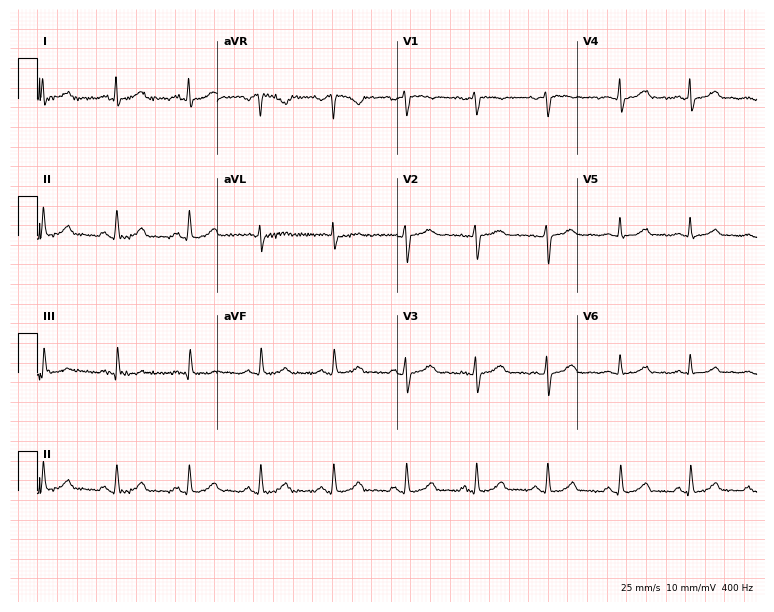
12-lead ECG from a female patient, 42 years old. Labelled as a normal ECG.